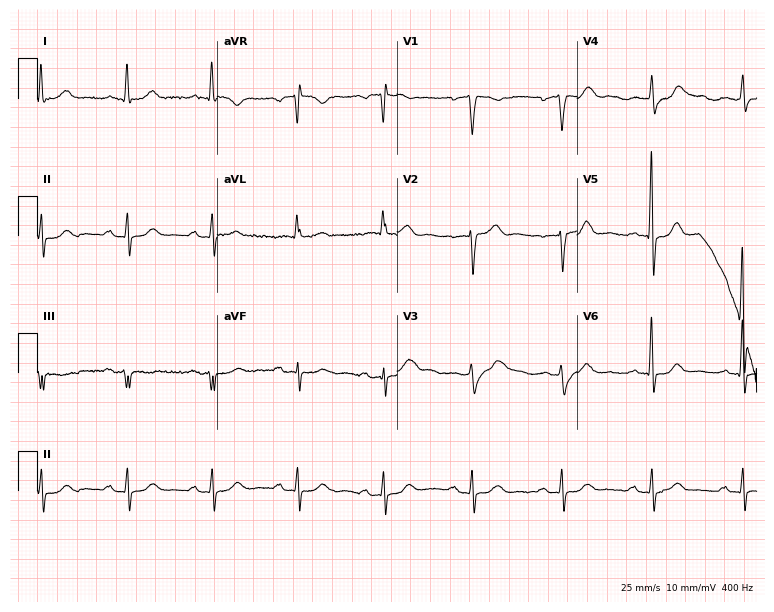
12-lead ECG from a male patient, 64 years old. Findings include first-degree AV block.